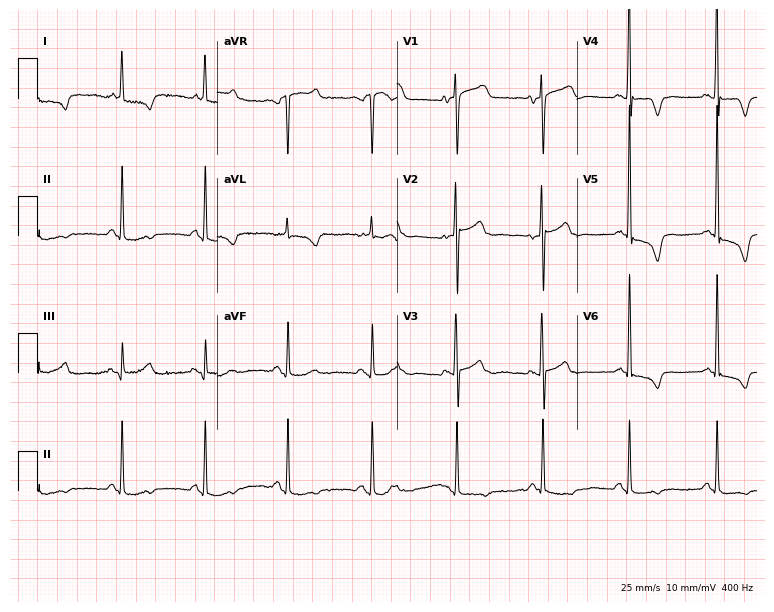
ECG (7.3-second recording at 400 Hz) — a male patient, 68 years old. Screened for six findings — first-degree AV block, right bundle branch block (RBBB), left bundle branch block (LBBB), sinus bradycardia, atrial fibrillation (AF), sinus tachycardia — none is recorded.